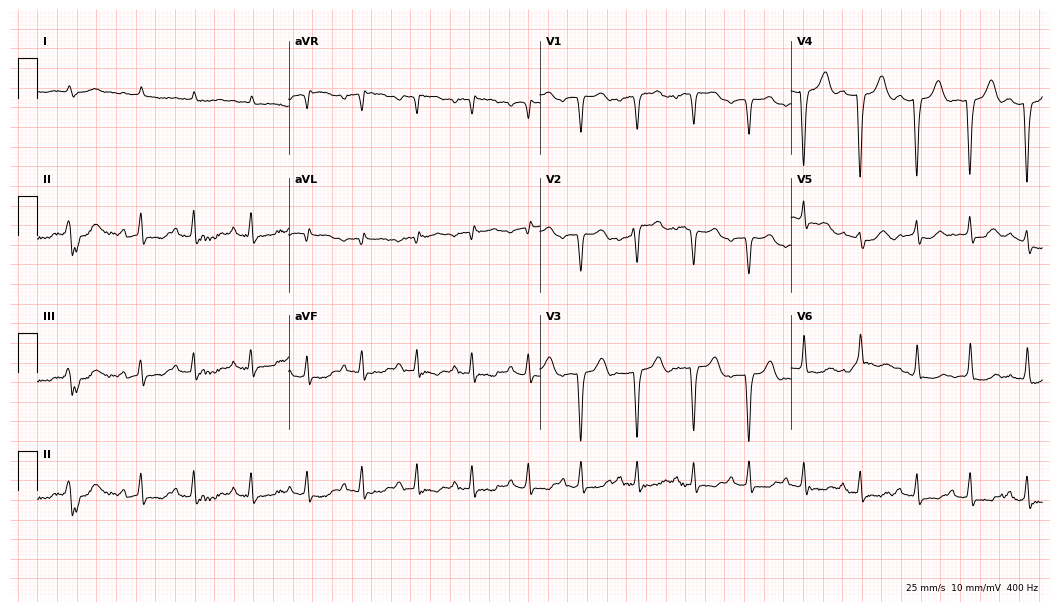
Resting 12-lead electrocardiogram (10.2-second recording at 400 Hz). Patient: a female, 84 years old. The tracing shows sinus tachycardia (a sinus rate of 100 beats per minute or more).